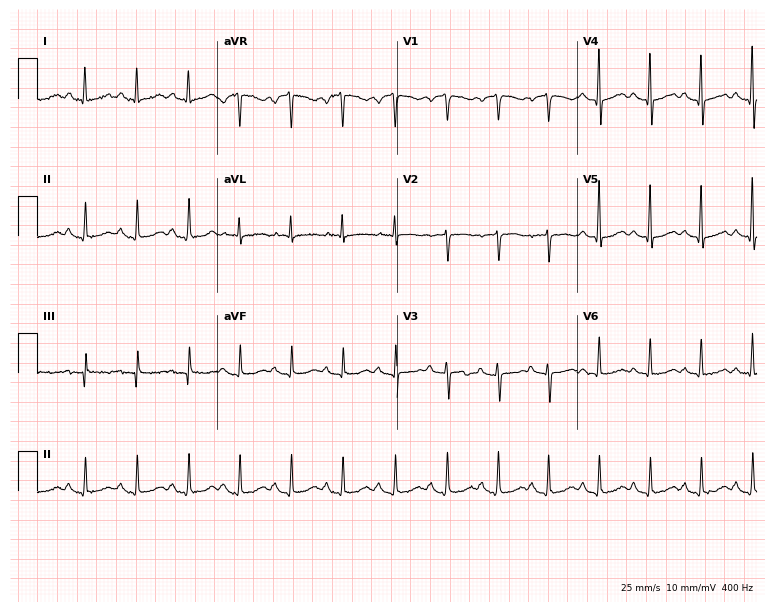
12-lead ECG from a 66-year-old female. Screened for six findings — first-degree AV block, right bundle branch block, left bundle branch block, sinus bradycardia, atrial fibrillation, sinus tachycardia — none is recorded.